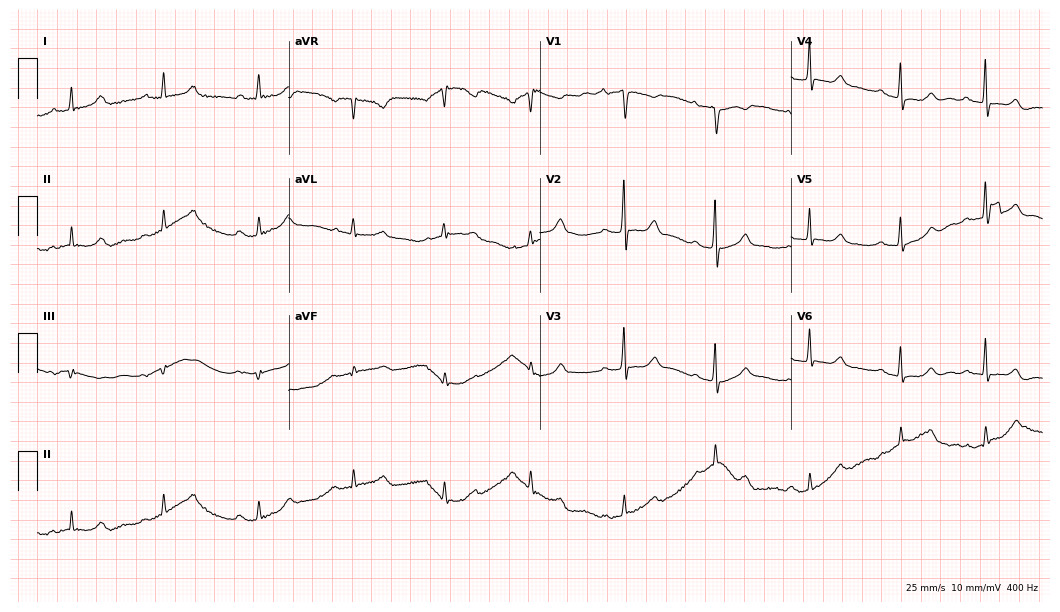
Resting 12-lead electrocardiogram (10.2-second recording at 400 Hz). Patient: a woman, 62 years old. None of these six findings is recorded: first-degree AV block, right bundle branch block, left bundle branch block, sinus bradycardia, atrial fibrillation, sinus tachycardia.